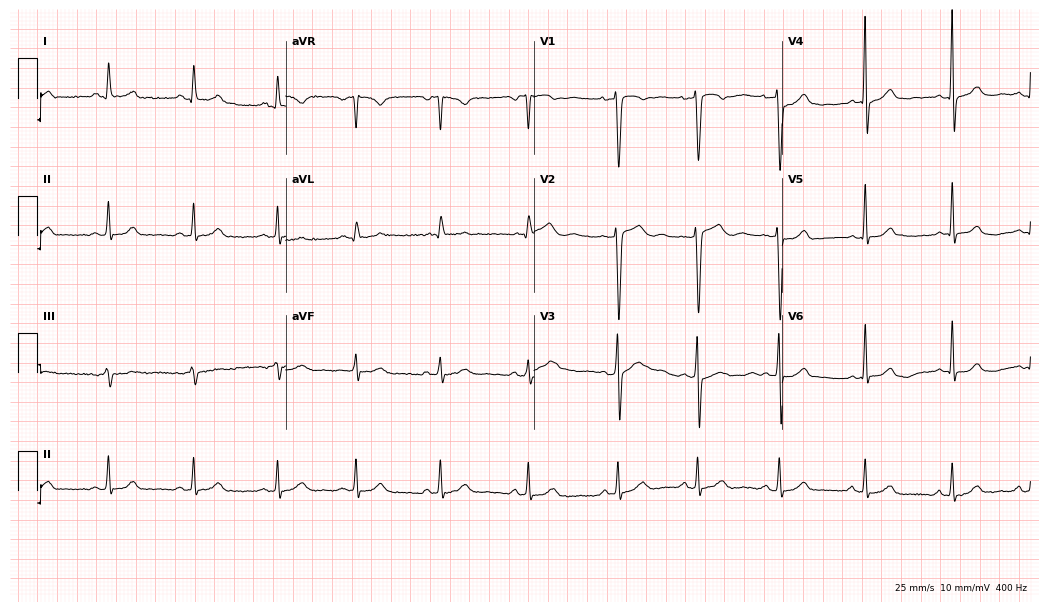
12-lead ECG from a woman, 24 years old. No first-degree AV block, right bundle branch block (RBBB), left bundle branch block (LBBB), sinus bradycardia, atrial fibrillation (AF) or sinus tachycardia recorded for this tracing.